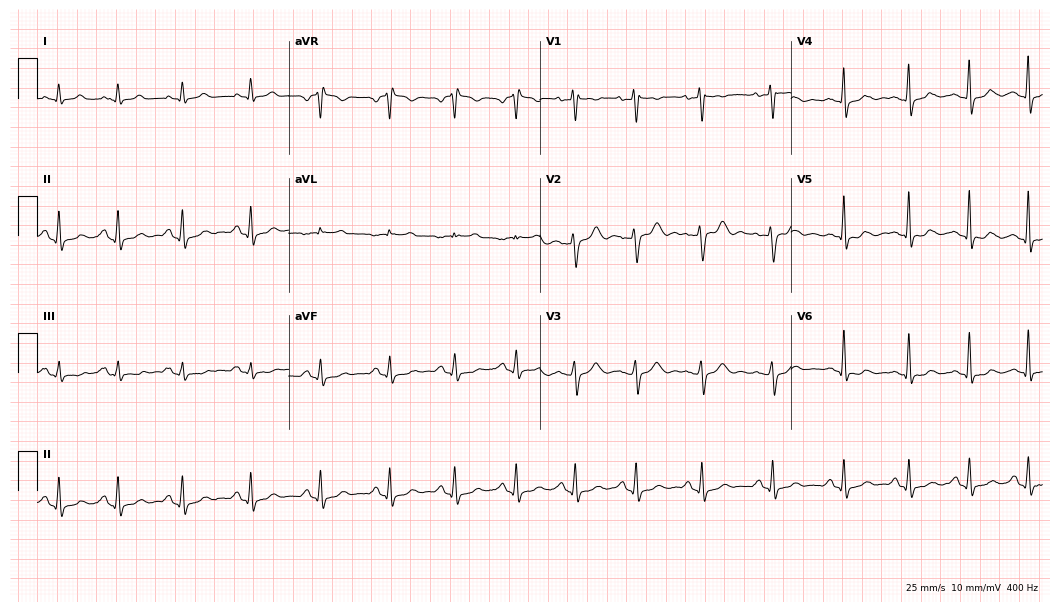
Electrocardiogram, a 27-year-old female patient. Of the six screened findings (first-degree AV block, right bundle branch block (RBBB), left bundle branch block (LBBB), sinus bradycardia, atrial fibrillation (AF), sinus tachycardia), none is recorded. Findings outside these six are not listed.